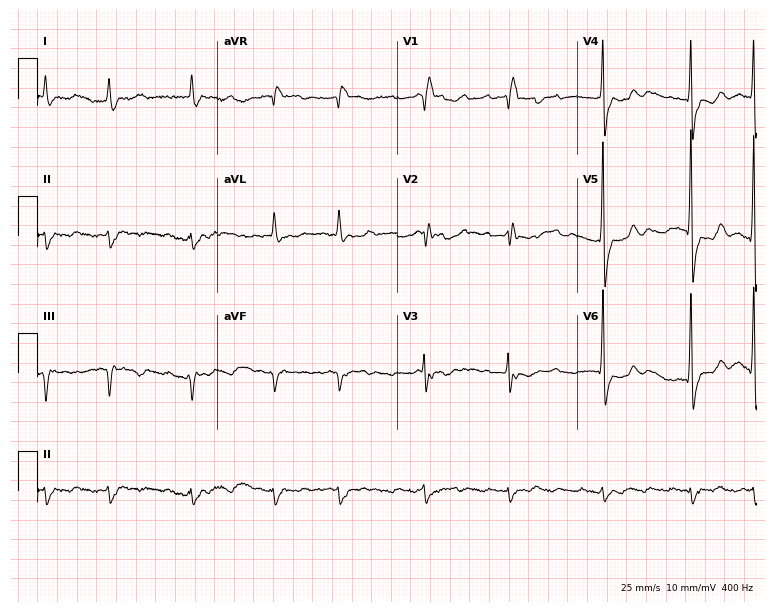
Resting 12-lead electrocardiogram. Patient: a man, 83 years old. None of these six findings is recorded: first-degree AV block, right bundle branch block, left bundle branch block, sinus bradycardia, atrial fibrillation, sinus tachycardia.